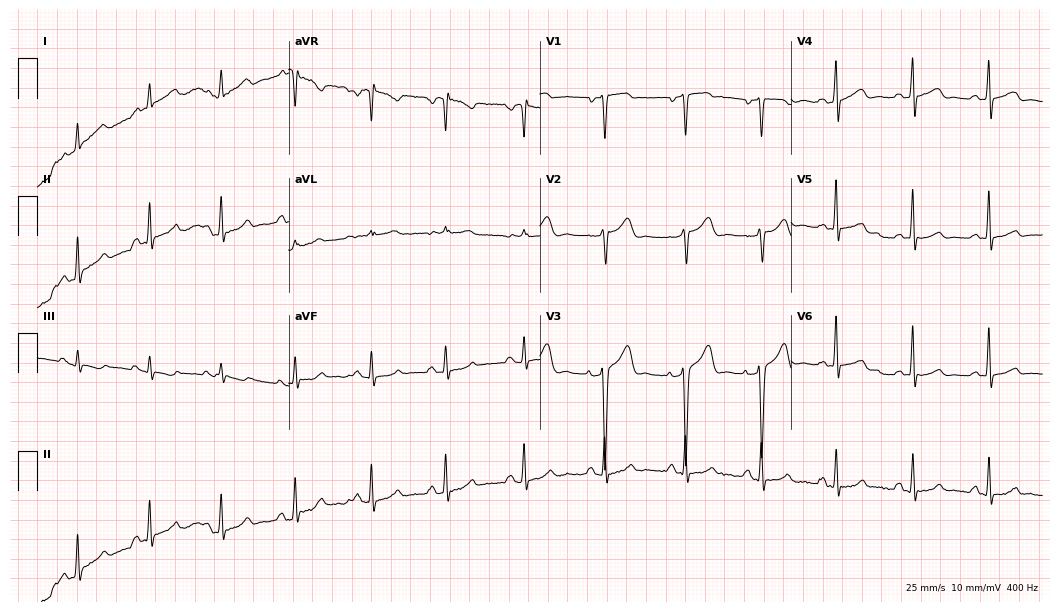
Electrocardiogram, a 59-year-old man. Overall reading on record: normal ECG.